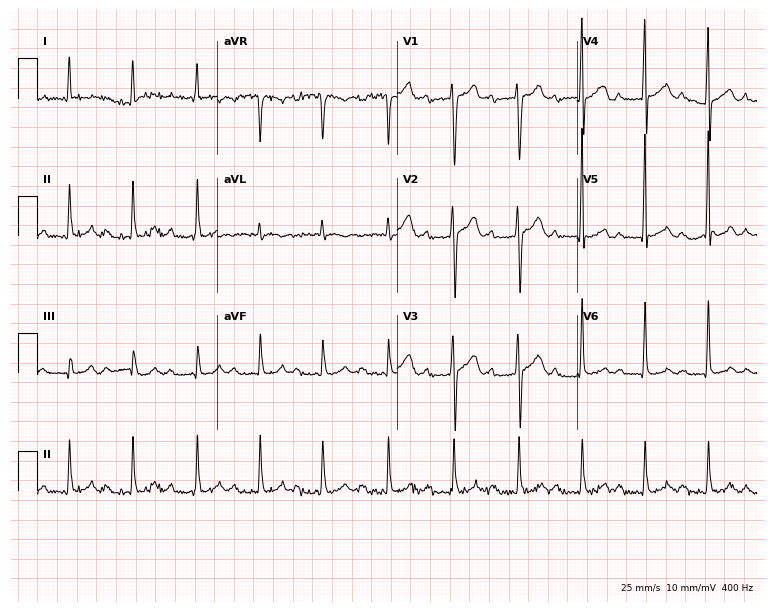
12-lead ECG from a 76-year-old male patient. Shows first-degree AV block.